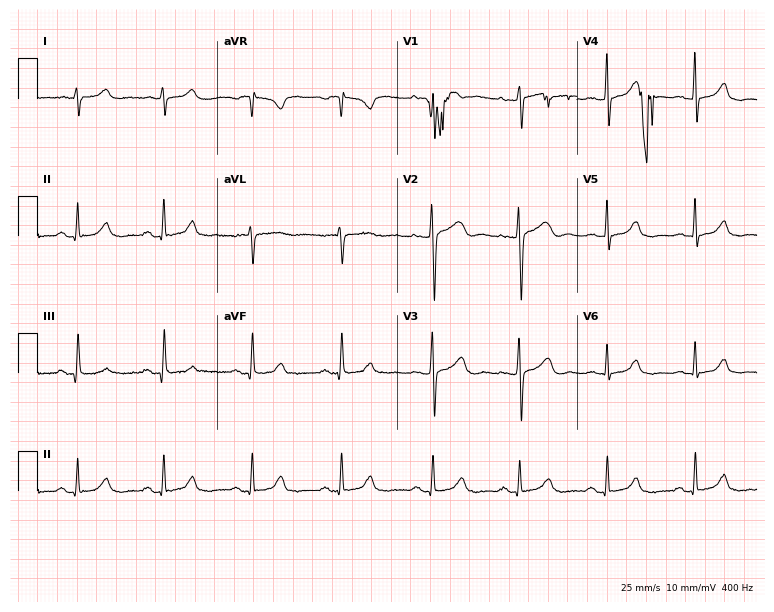
Standard 12-lead ECG recorded from a 41-year-old female. None of these six findings is recorded: first-degree AV block, right bundle branch block (RBBB), left bundle branch block (LBBB), sinus bradycardia, atrial fibrillation (AF), sinus tachycardia. Other findings, if any, are not listed.